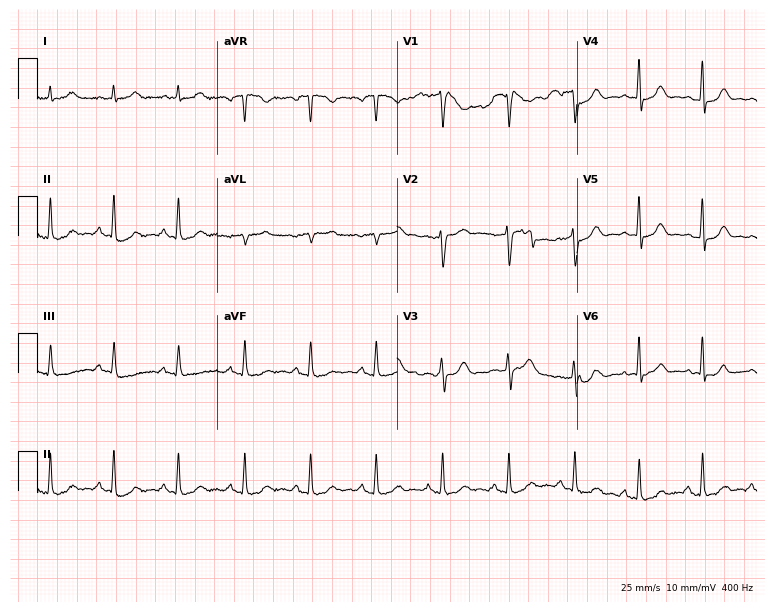
Resting 12-lead electrocardiogram (7.3-second recording at 400 Hz). Patient: a 48-year-old female. Read as a normal ECG.